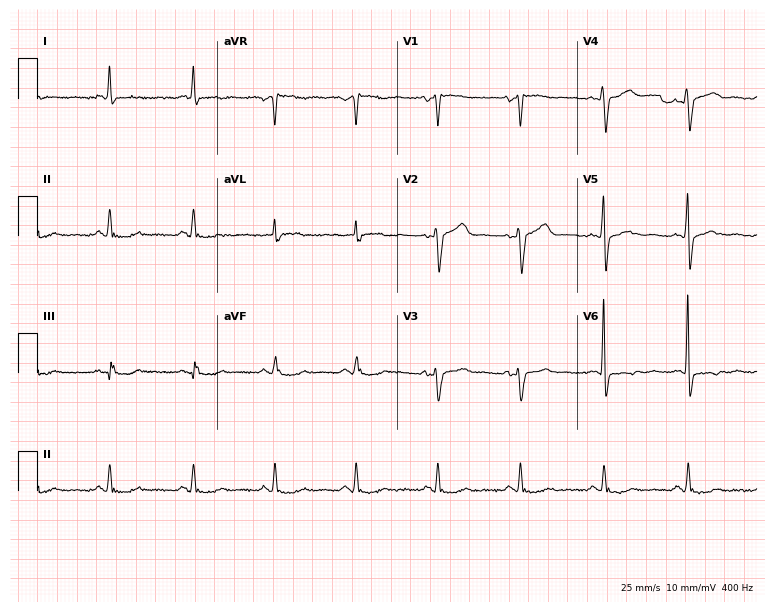
Resting 12-lead electrocardiogram. Patient: a 58-year-old male. None of these six findings is recorded: first-degree AV block, right bundle branch block, left bundle branch block, sinus bradycardia, atrial fibrillation, sinus tachycardia. Findings outside these six are not listed.